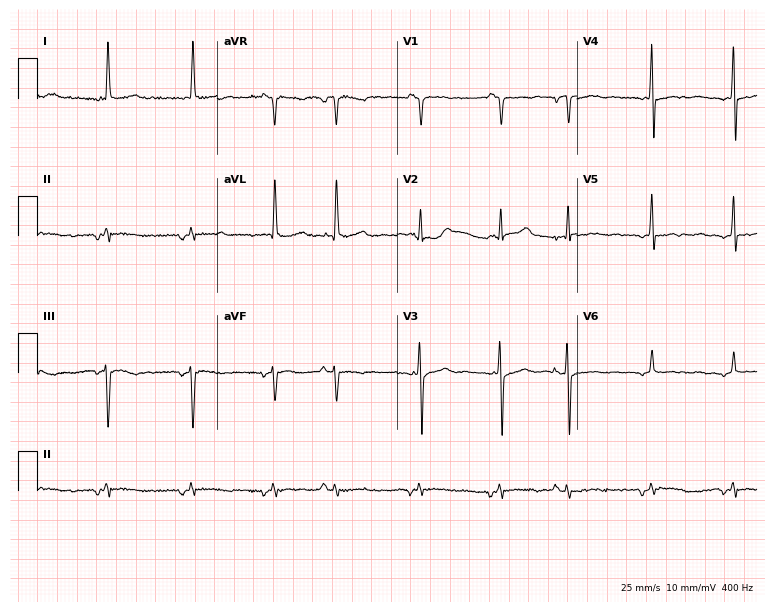
Standard 12-lead ECG recorded from a 76-year-old male patient. None of these six findings is recorded: first-degree AV block, right bundle branch block, left bundle branch block, sinus bradycardia, atrial fibrillation, sinus tachycardia.